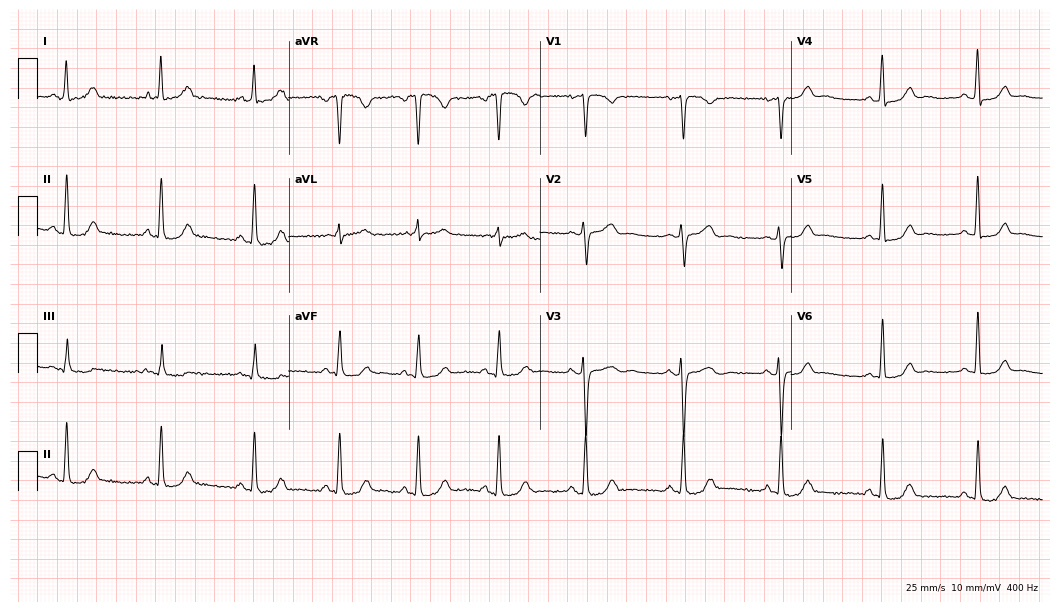
12-lead ECG from a 54-year-old female. Labelled as a normal ECG.